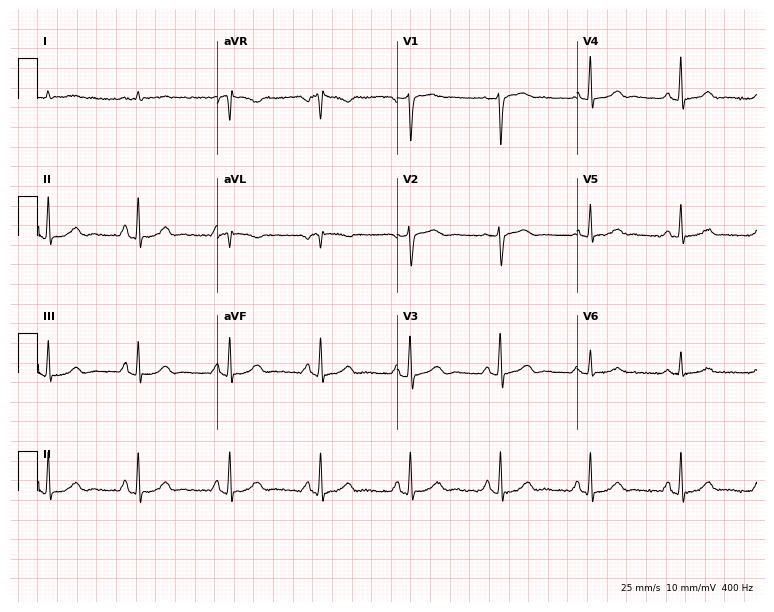
12-lead ECG from a man, 63 years old. Labelled as a normal ECG.